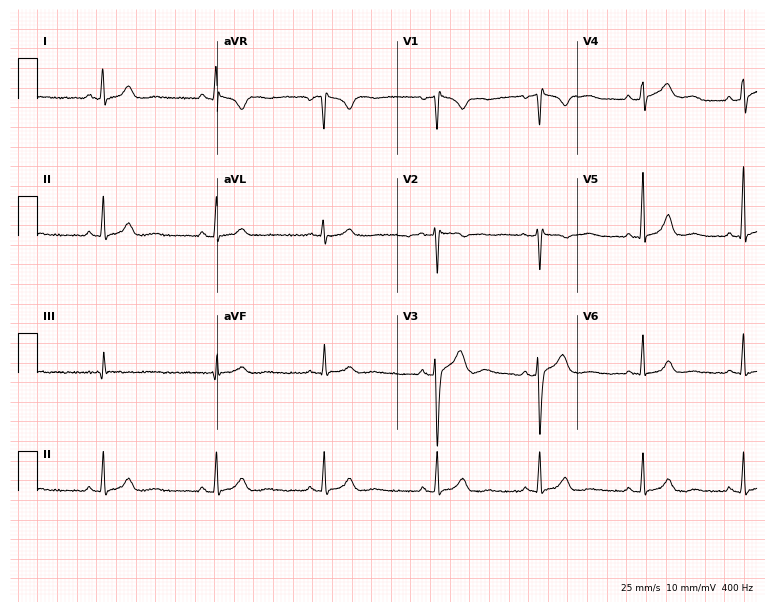
12-lead ECG from a female patient, 38 years old. Labelled as a normal ECG.